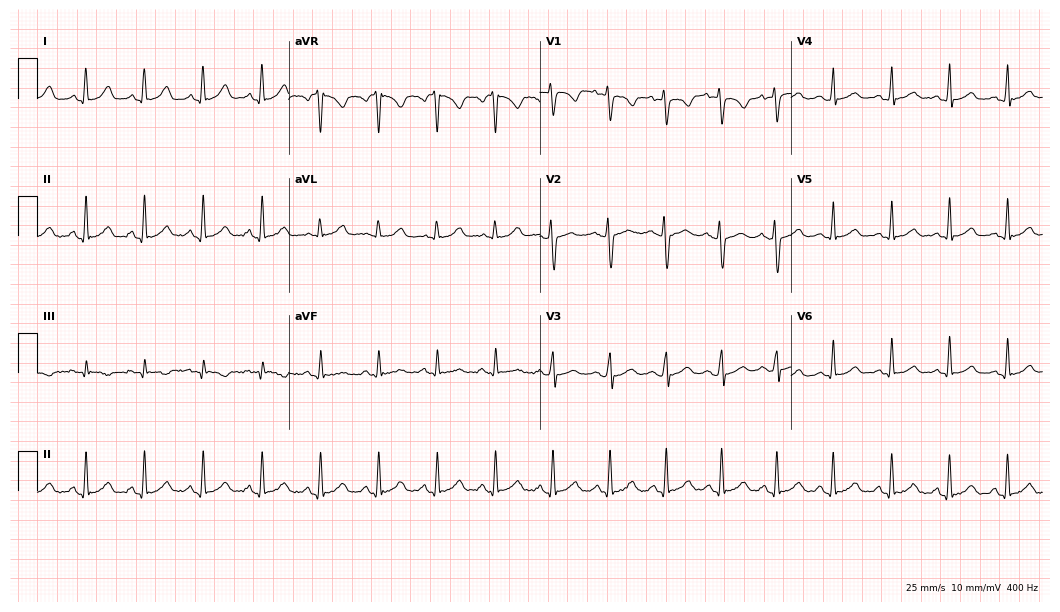
Resting 12-lead electrocardiogram (10.2-second recording at 400 Hz). Patient: a woman, 22 years old. The tracing shows sinus tachycardia (a sinus rate of 100 beats per minute or more).